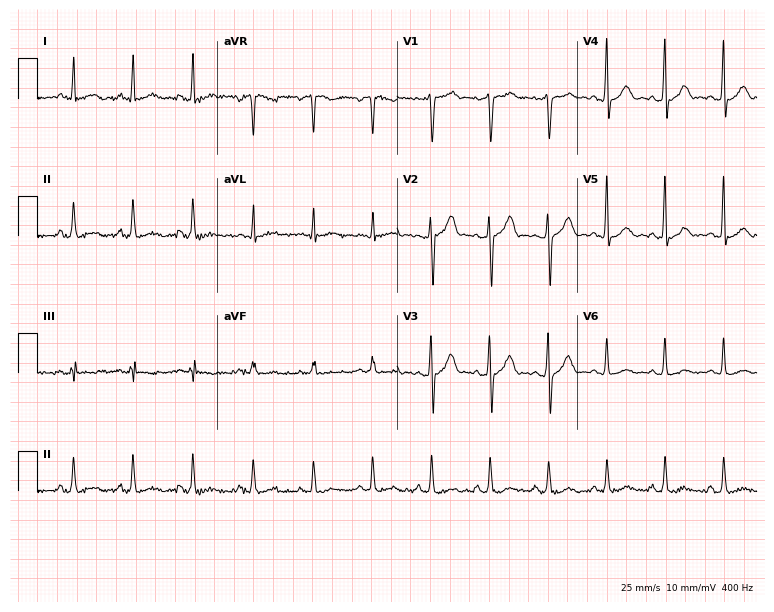
Standard 12-lead ECG recorded from a 34-year-old male patient (7.3-second recording at 400 Hz). None of these six findings is recorded: first-degree AV block, right bundle branch block, left bundle branch block, sinus bradycardia, atrial fibrillation, sinus tachycardia.